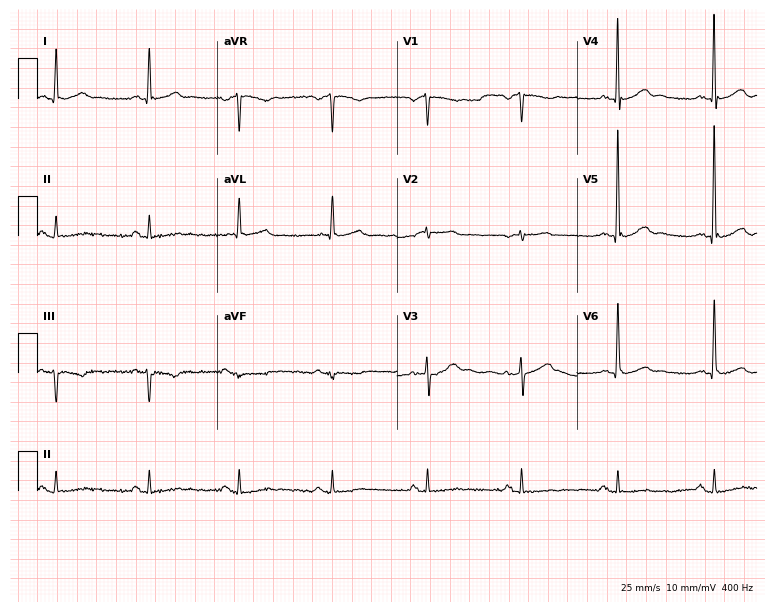
12-lead ECG from a 73-year-old male patient (7.3-second recording at 400 Hz). No first-degree AV block, right bundle branch block, left bundle branch block, sinus bradycardia, atrial fibrillation or sinus tachycardia recorded for this tracing. Other findings, if any, are not listed.